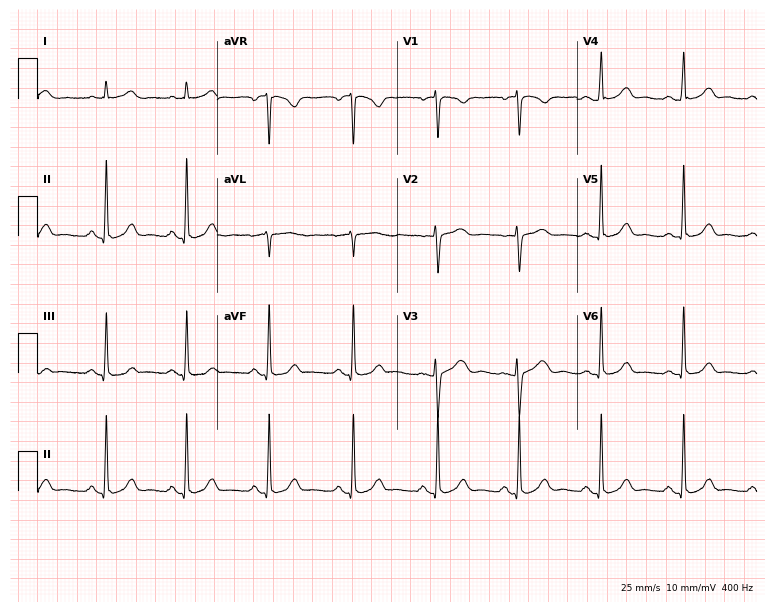
Electrocardiogram, a 39-year-old female patient. Overall reading on record: normal ECG.